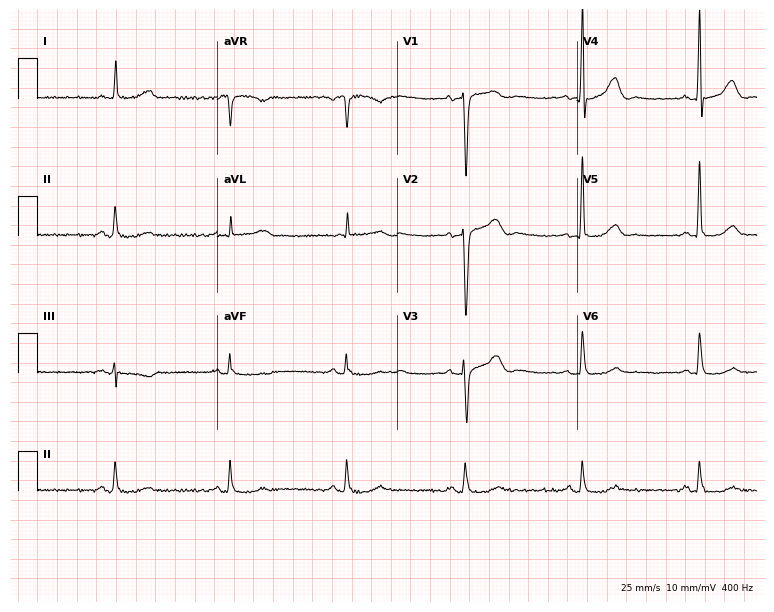
Electrocardiogram, a female, 59 years old. Of the six screened findings (first-degree AV block, right bundle branch block, left bundle branch block, sinus bradycardia, atrial fibrillation, sinus tachycardia), none is recorded. Findings outside these six are not listed.